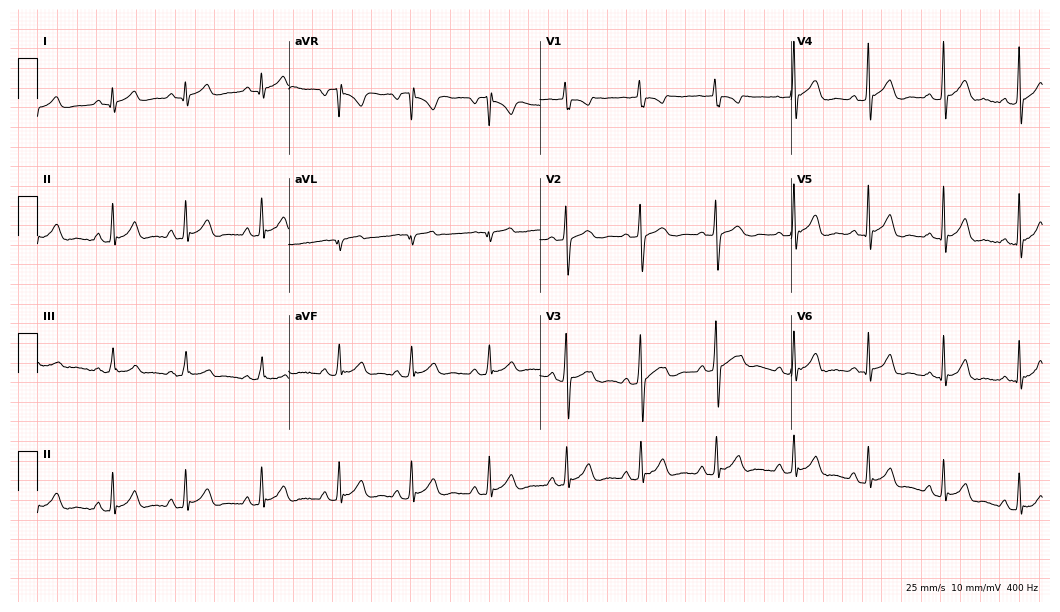
ECG — a 39-year-old male patient. Labelled as a normal ECG.